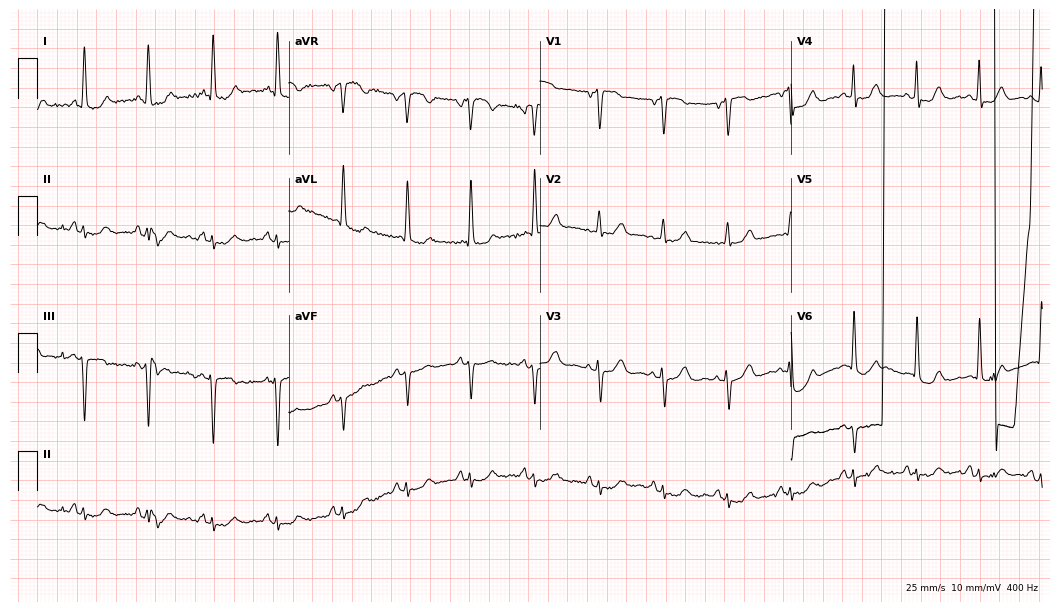
Resting 12-lead electrocardiogram. Patient: a 78-year-old woman. None of these six findings is recorded: first-degree AV block, right bundle branch block, left bundle branch block, sinus bradycardia, atrial fibrillation, sinus tachycardia. Findings outside these six are not listed.